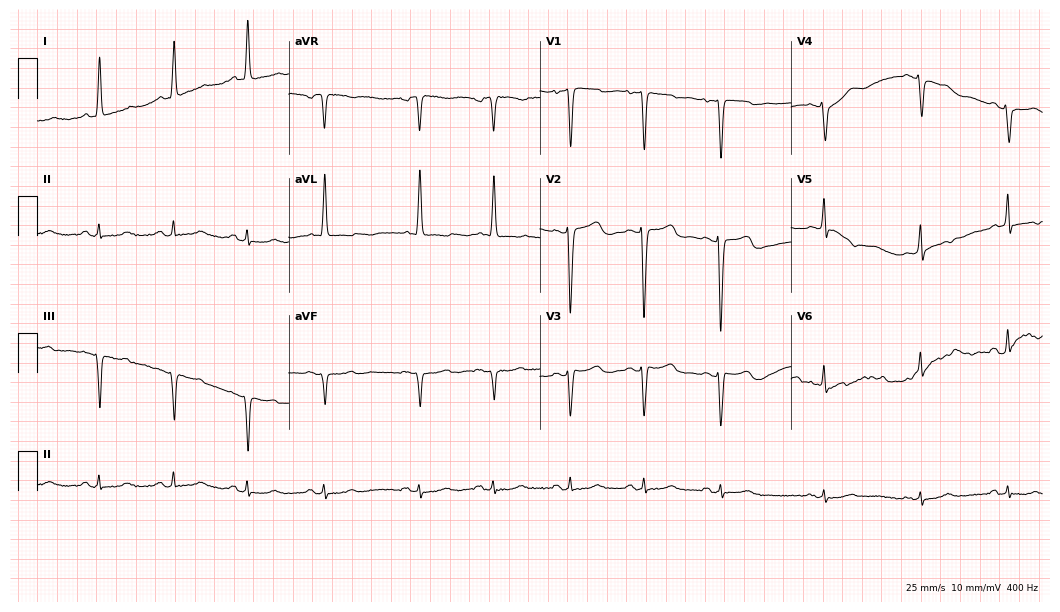
12-lead ECG (10.2-second recording at 400 Hz) from a 73-year-old female patient. Screened for six findings — first-degree AV block, right bundle branch block, left bundle branch block, sinus bradycardia, atrial fibrillation, sinus tachycardia — none is recorded.